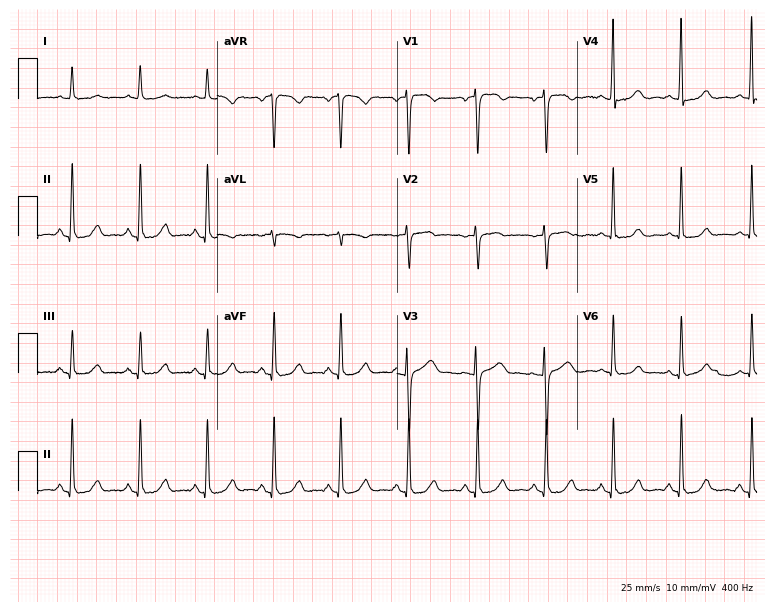
Electrocardiogram (7.3-second recording at 400 Hz), a 51-year-old woman. Overall reading on record: normal ECG.